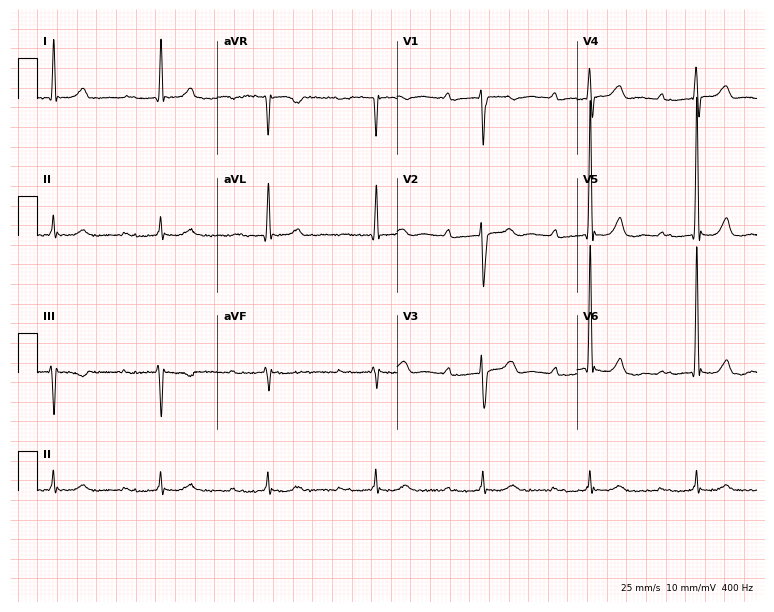
Resting 12-lead electrocardiogram. Patient: a 76-year-old man. The tracing shows first-degree AV block.